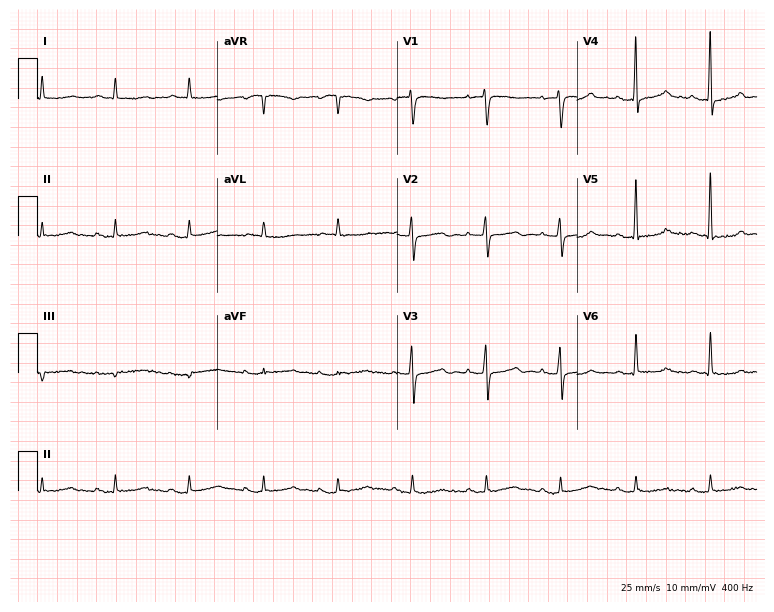
ECG — a woman, 84 years old. Screened for six findings — first-degree AV block, right bundle branch block (RBBB), left bundle branch block (LBBB), sinus bradycardia, atrial fibrillation (AF), sinus tachycardia — none is recorded.